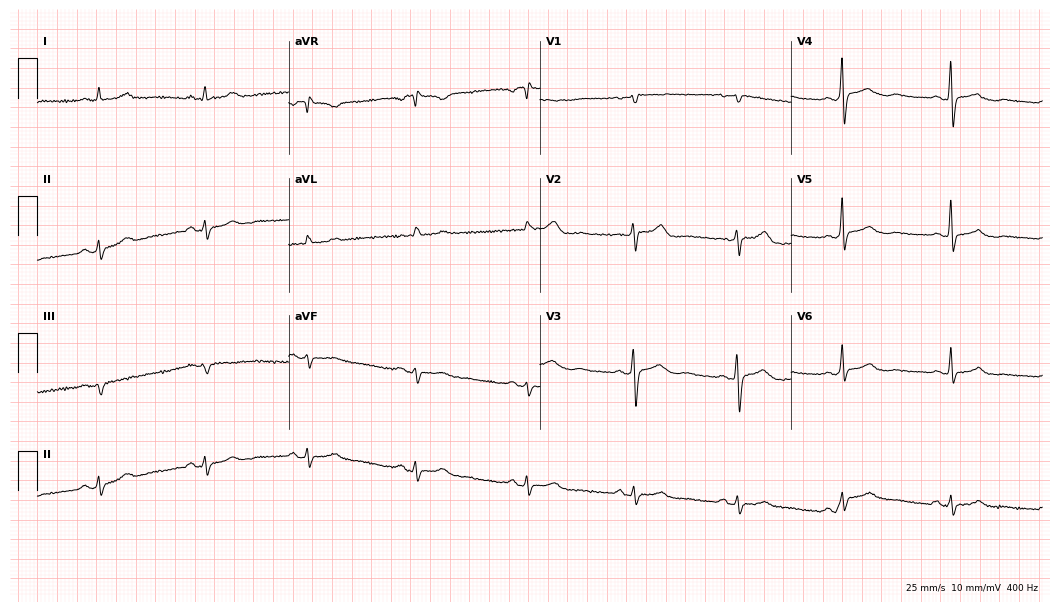
12-lead ECG (10.2-second recording at 400 Hz) from a 54-year-old woman. Labelled as a normal ECG.